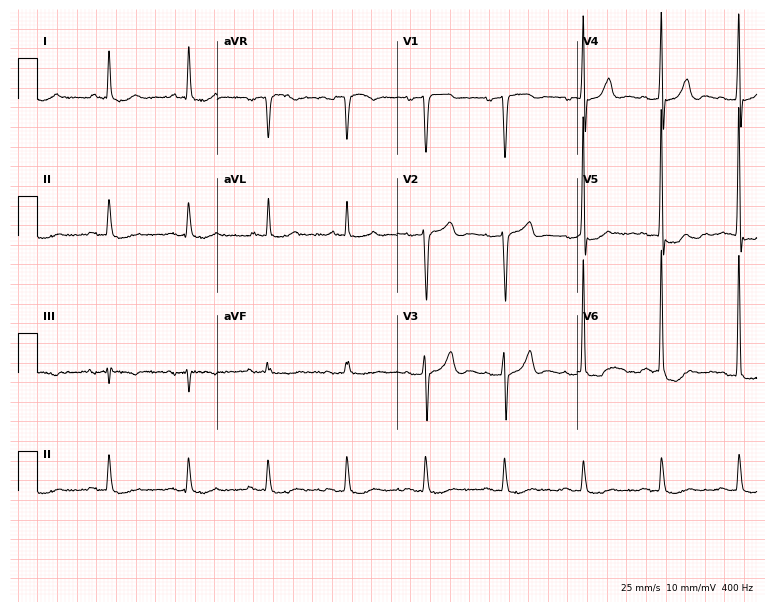
Standard 12-lead ECG recorded from an 84-year-old man (7.3-second recording at 400 Hz). None of these six findings is recorded: first-degree AV block, right bundle branch block, left bundle branch block, sinus bradycardia, atrial fibrillation, sinus tachycardia. Only these six findings were labelled.